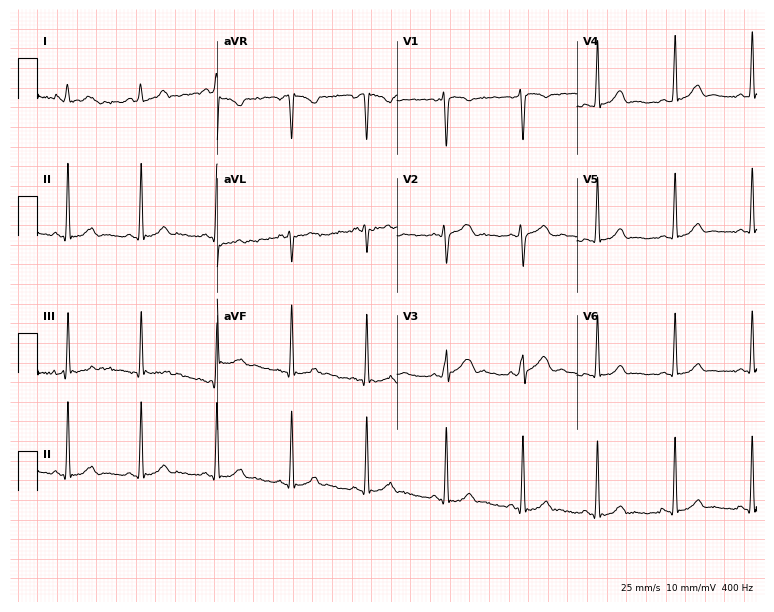
Standard 12-lead ECG recorded from a female patient, 20 years old (7.3-second recording at 400 Hz). None of these six findings is recorded: first-degree AV block, right bundle branch block, left bundle branch block, sinus bradycardia, atrial fibrillation, sinus tachycardia.